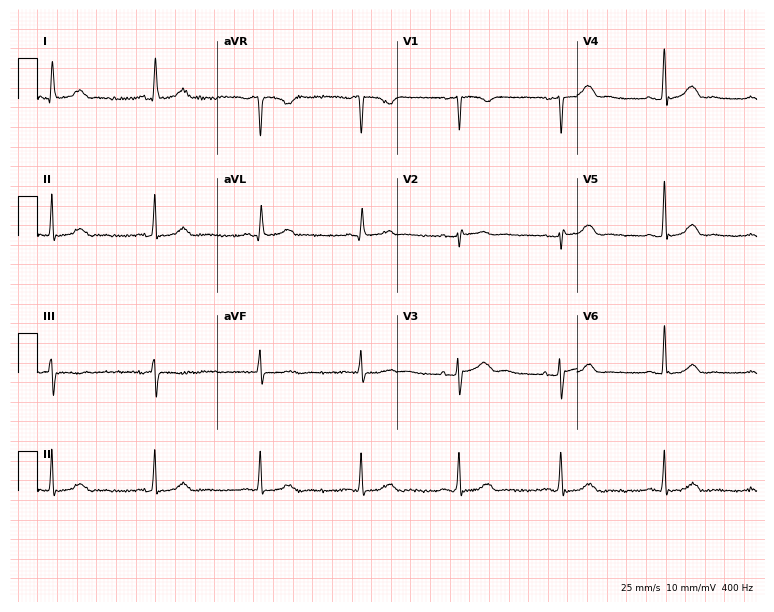
Electrocardiogram (7.3-second recording at 400 Hz), a female, 46 years old. Overall reading on record: normal ECG.